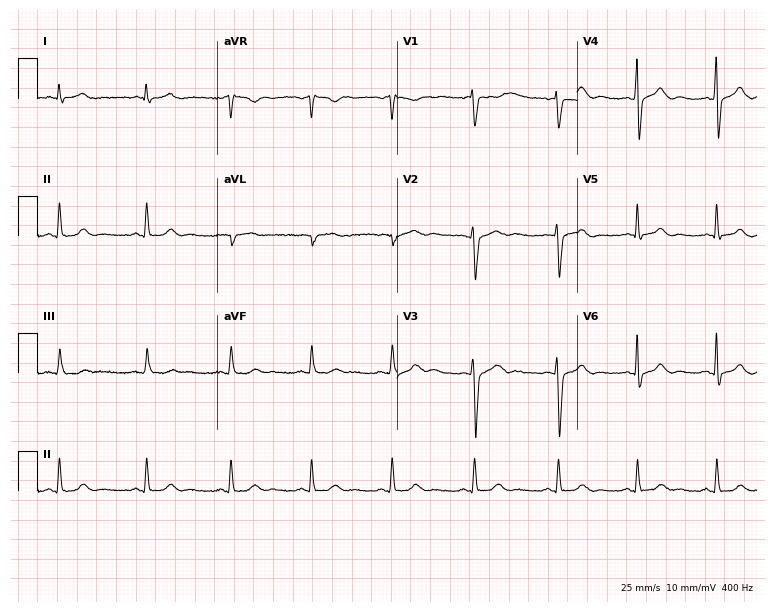
ECG (7.3-second recording at 400 Hz) — a male patient, 34 years old. Labelled as a normal ECG.